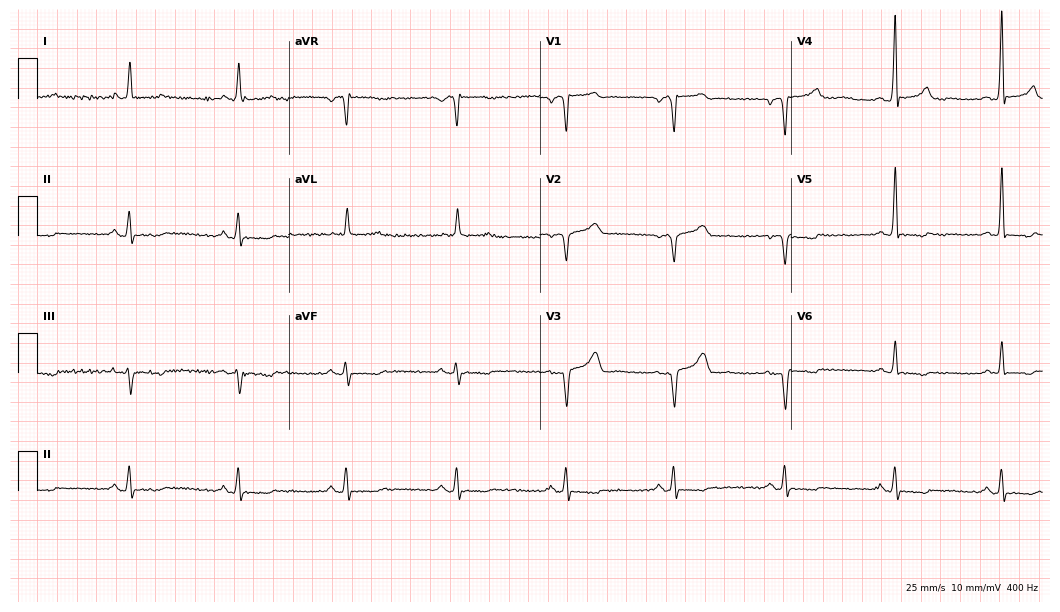
Resting 12-lead electrocardiogram. Patient: a 66-year-old man. None of these six findings is recorded: first-degree AV block, right bundle branch block (RBBB), left bundle branch block (LBBB), sinus bradycardia, atrial fibrillation (AF), sinus tachycardia. Other findings, if any, are not listed.